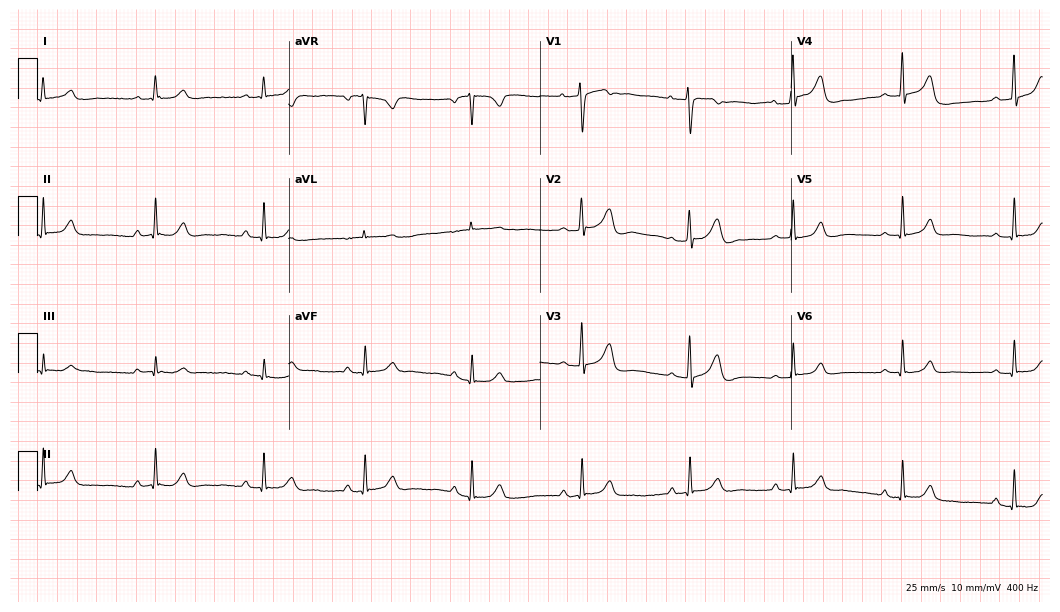
Resting 12-lead electrocardiogram. Patient: a female, 24 years old. Read as a normal ECG.